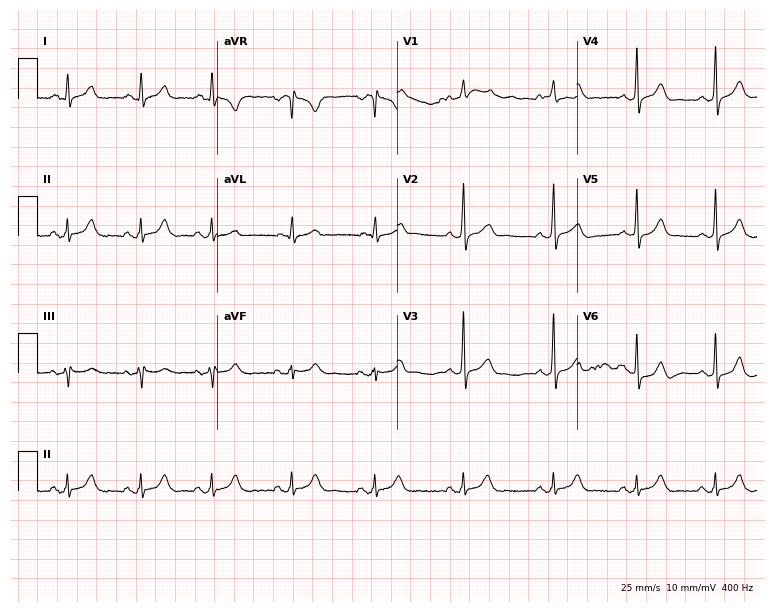
12-lead ECG from a 22-year-old man (7.3-second recording at 400 Hz). Recorded interpretation: within normal limits.